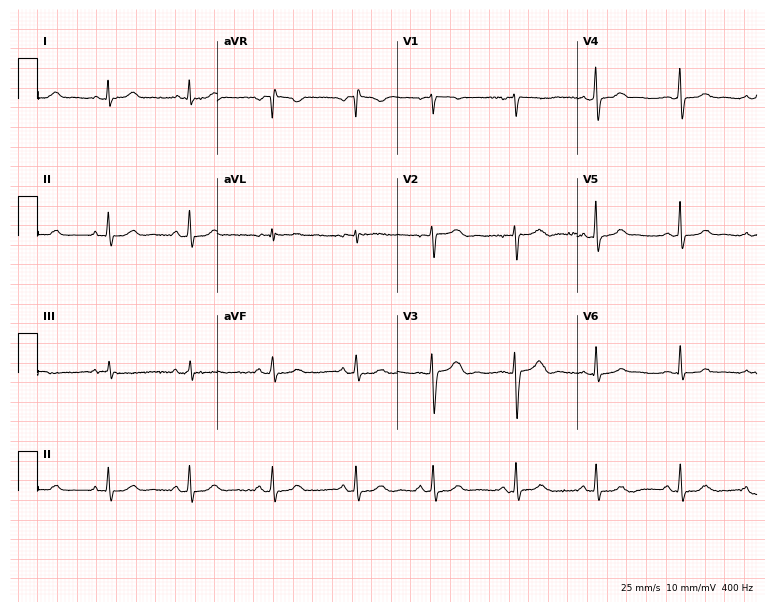
12-lead ECG from a 26-year-old woman. Labelled as a normal ECG.